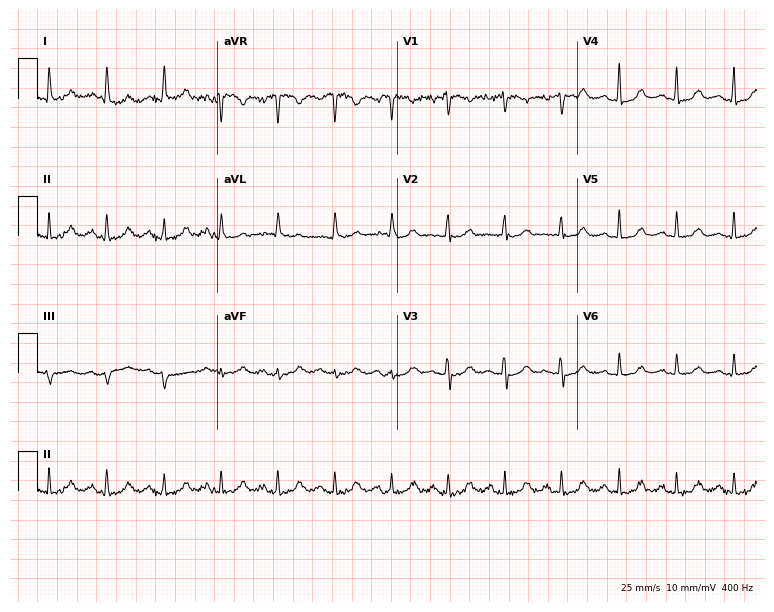
12-lead ECG from a female, 66 years old (7.3-second recording at 400 Hz). Shows sinus tachycardia (a sinus rate of 100 beats per minute or more).